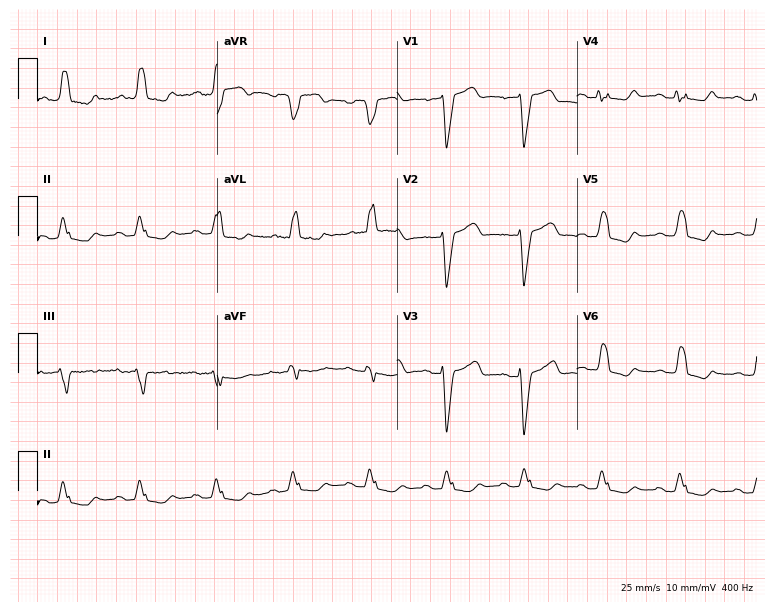
12-lead ECG (7.3-second recording at 400 Hz) from a 77-year-old woman. Screened for six findings — first-degree AV block, right bundle branch block, left bundle branch block, sinus bradycardia, atrial fibrillation, sinus tachycardia — none is recorded.